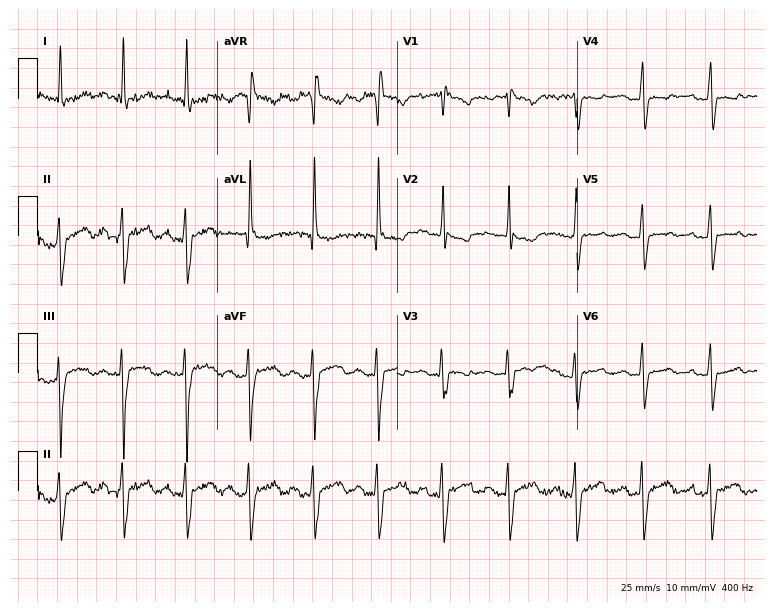
12-lead ECG (7.3-second recording at 400 Hz) from a 24-year-old female. Findings include first-degree AV block.